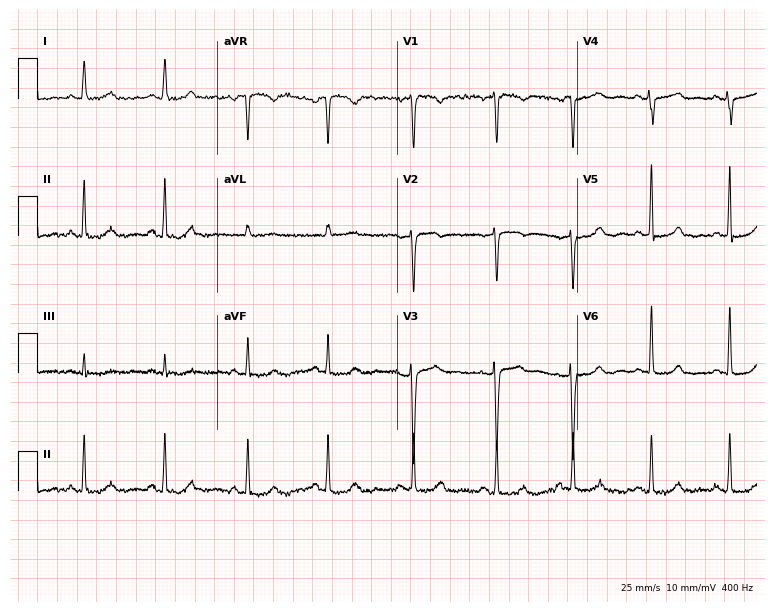
Electrocardiogram (7.3-second recording at 400 Hz), a 38-year-old female. Of the six screened findings (first-degree AV block, right bundle branch block, left bundle branch block, sinus bradycardia, atrial fibrillation, sinus tachycardia), none is recorded.